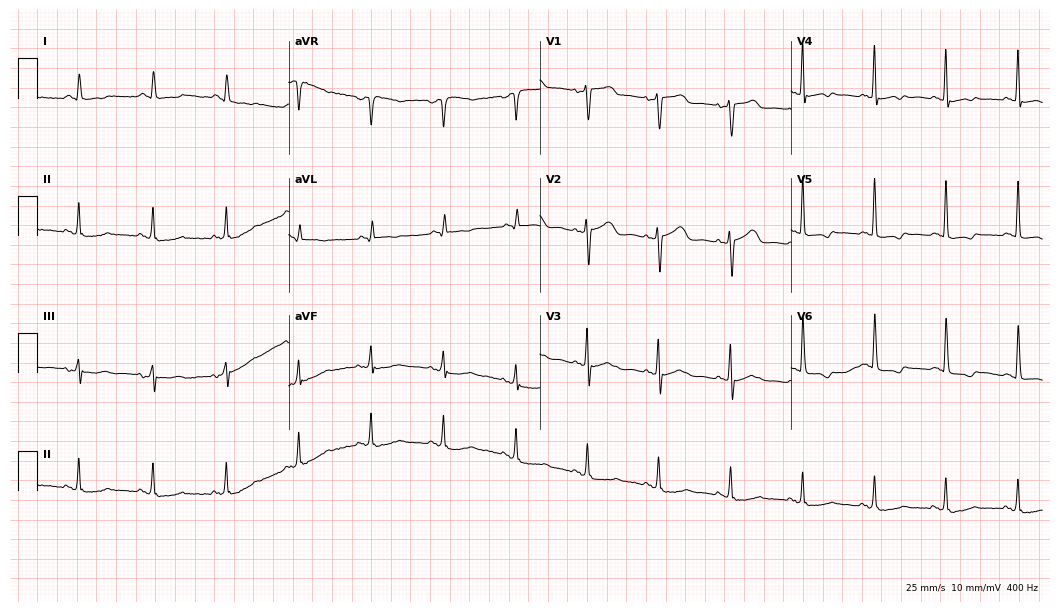
Resting 12-lead electrocardiogram. Patient: a female, 65 years old. None of these six findings is recorded: first-degree AV block, right bundle branch block (RBBB), left bundle branch block (LBBB), sinus bradycardia, atrial fibrillation (AF), sinus tachycardia.